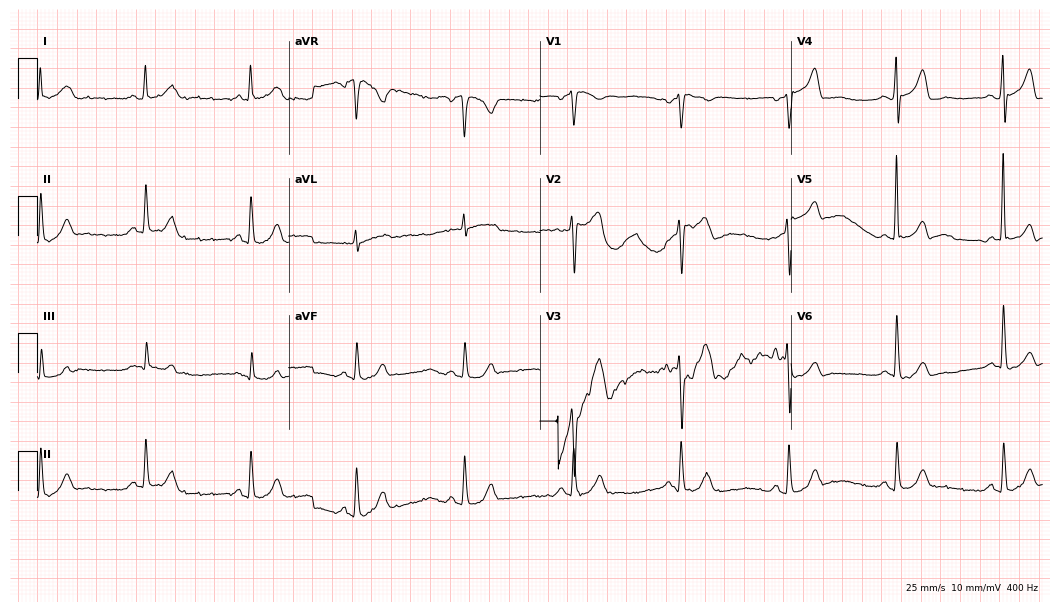
Standard 12-lead ECG recorded from a 57-year-old female (10.2-second recording at 400 Hz). Read as a normal ECG.